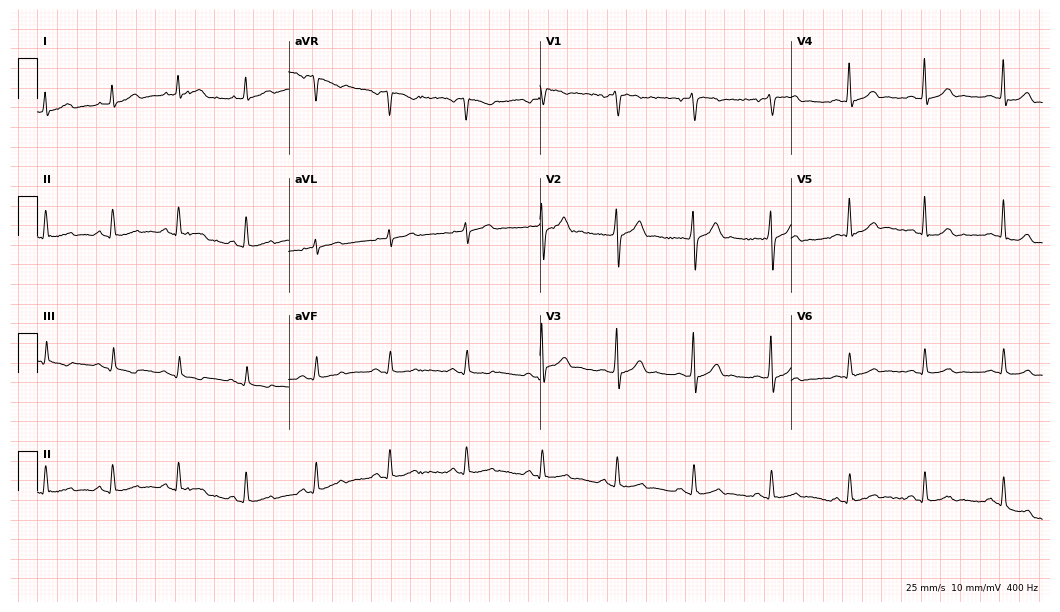
Electrocardiogram, a 36-year-old male patient. Overall reading on record: normal ECG.